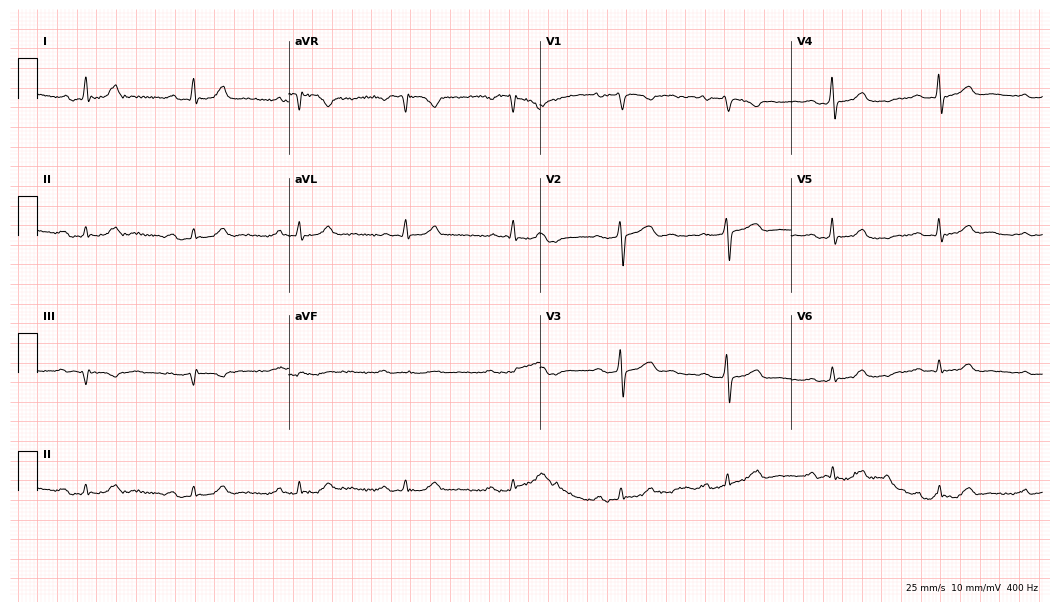
12-lead ECG from a 62-year-old male (10.2-second recording at 400 Hz). Shows first-degree AV block.